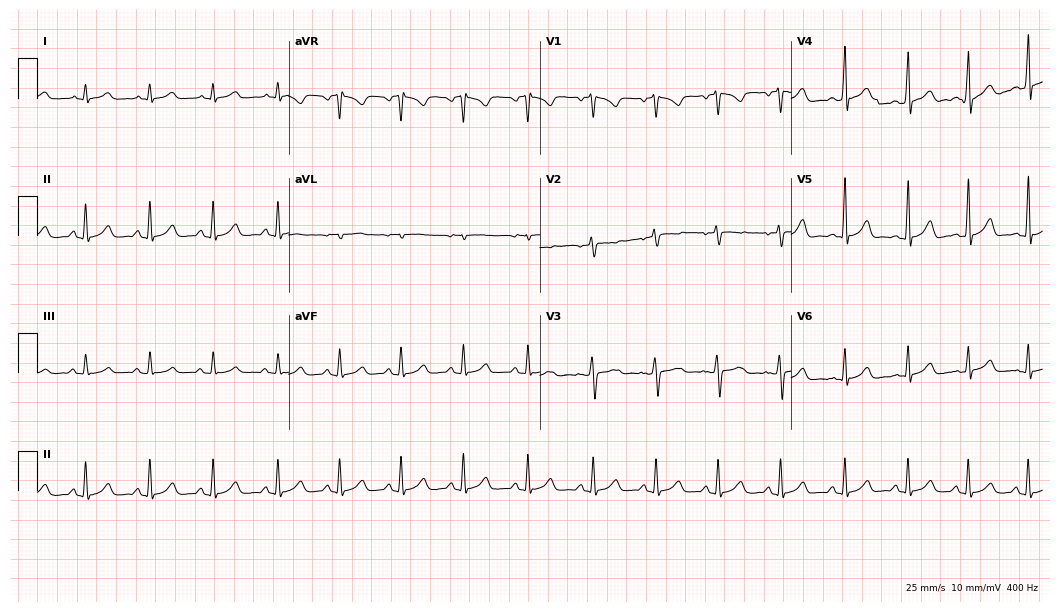
Resting 12-lead electrocardiogram. Patient: a woman, 21 years old. Read as a normal ECG.